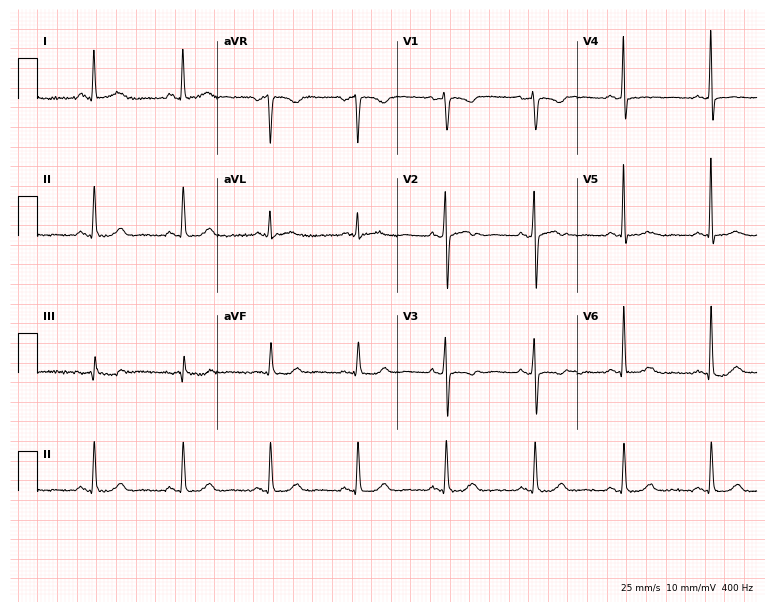
Resting 12-lead electrocardiogram. Patient: a 56-year-old woman. None of these six findings is recorded: first-degree AV block, right bundle branch block (RBBB), left bundle branch block (LBBB), sinus bradycardia, atrial fibrillation (AF), sinus tachycardia.